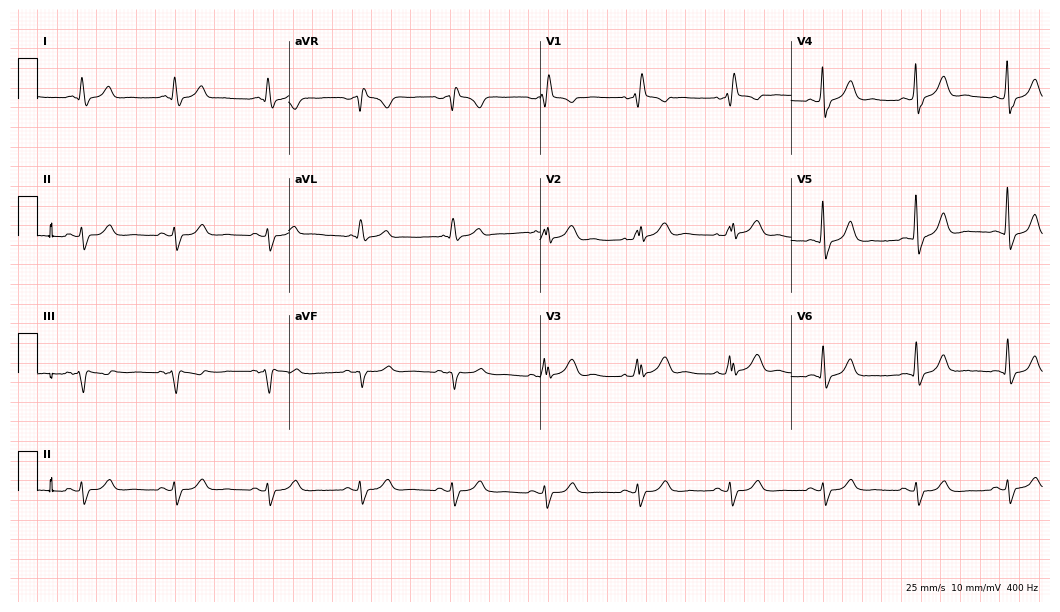
12-lead ECG (10.2-second recording at 400 Hz) from a male patient, 74 years old. Findings include right bundle branch block.